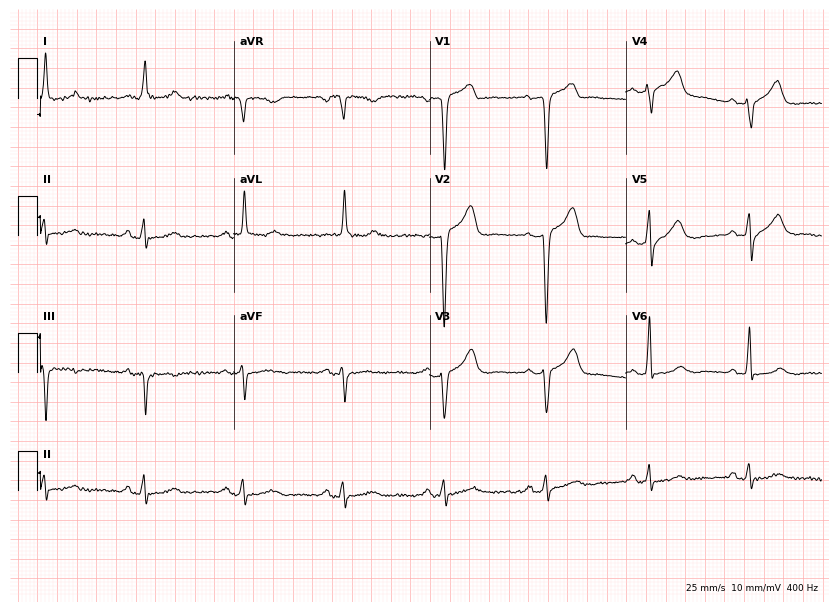
12-lead ECG from a male, 83 years old. Screened for six findings — first-degree AV block, right bundle branch block, left bundle branch block, sinus bradycardia, atrial fibrillation, sinus tachycardia — none is recorded.